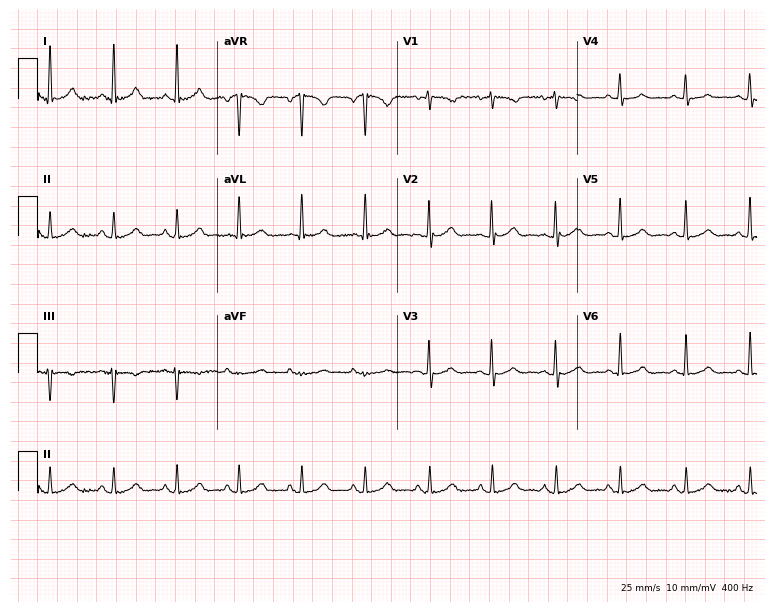
Electrocardiogram, a 78-year-old female. Overall reading on record: normal ECG.